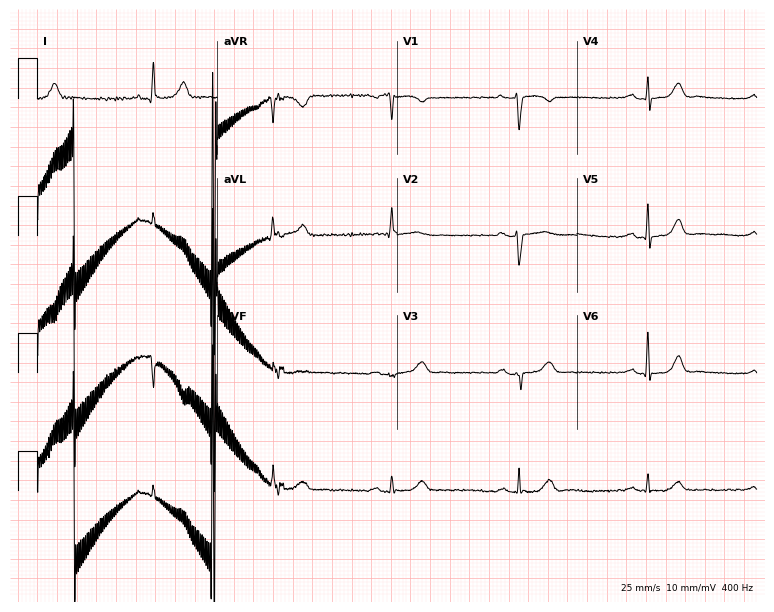
Standard 12-lead ECG recorded from a female, 70 years old (7.3-second recording at 400 Hz). None of these six findings is recorded: first-degree AV block, right bundle branch block, left bundle branch block, sinus bradycardia, atrial fibrillation, sinus tachycardia. Other findings, if any, are not listed.